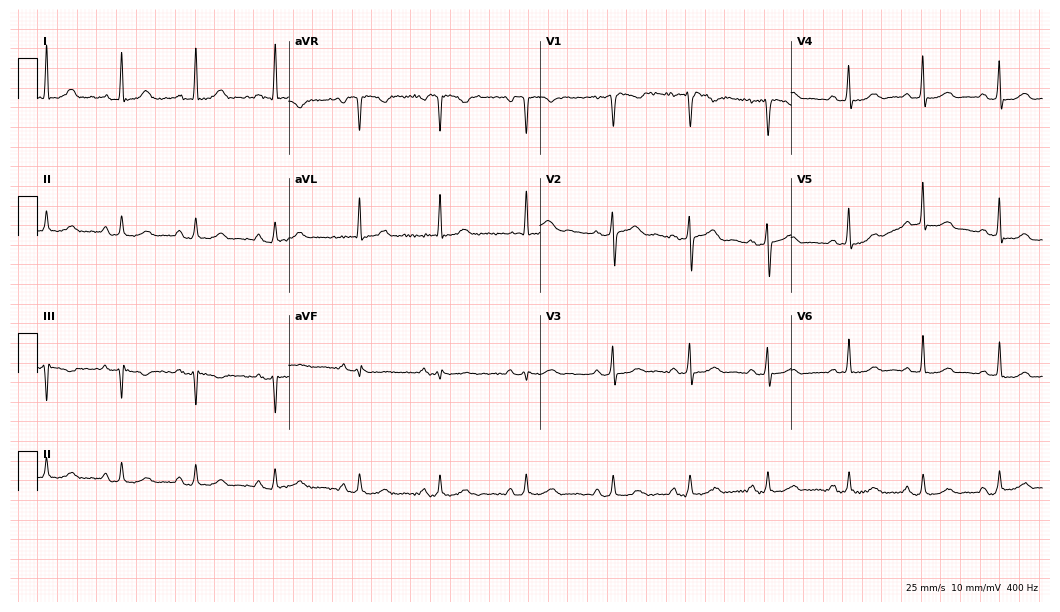
Standard 12-lead ECG recorded from a 46-year-old woman. Read as a normal ECG.